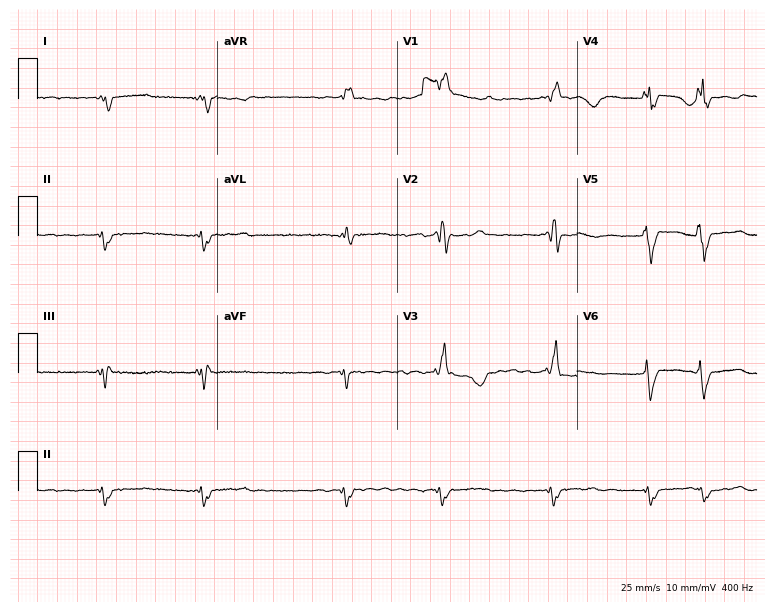
Electrocardiogram (7.3-second recording at 400 Hz), a 46-year-old man. Interpretation includes right bundle branch block, atrial fibrillation.